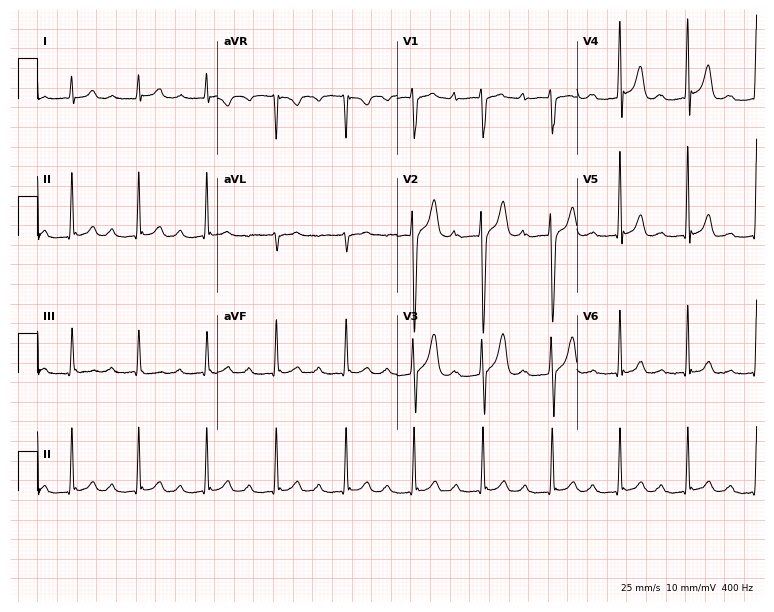
Standard 12-lead ECG recorded from a 27-year-old man. The tracing shows first-degree AV block.